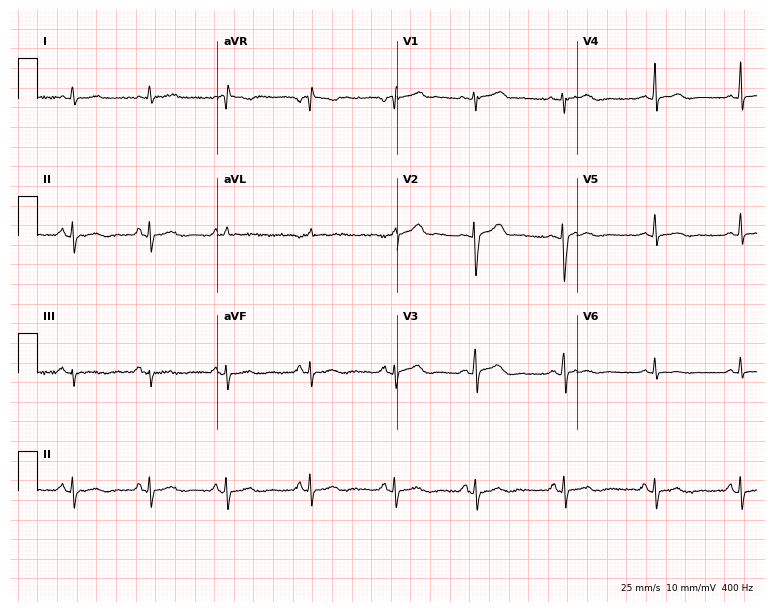
ECG (7.3-second recording at 400 Hz) — a female patient, 18 years old. Labelled as a normal ECG.